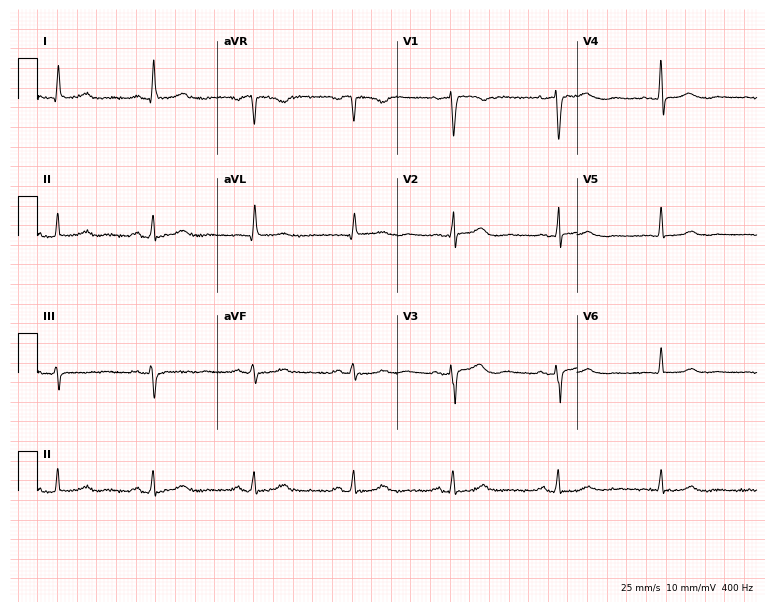
ECG (7.3-second recording at 400 Hz) — a 55-year-old woman. Labelled as a normal ECG.